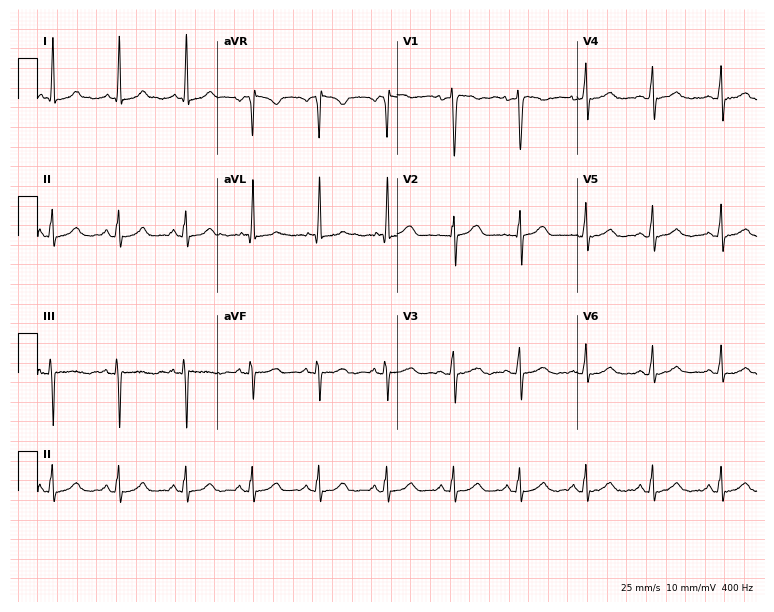
Resting 12-lead electrocardiogram (7.3-second recording at 400 Hz). Patient: a female, 38 years old. Read as a normal ECG.